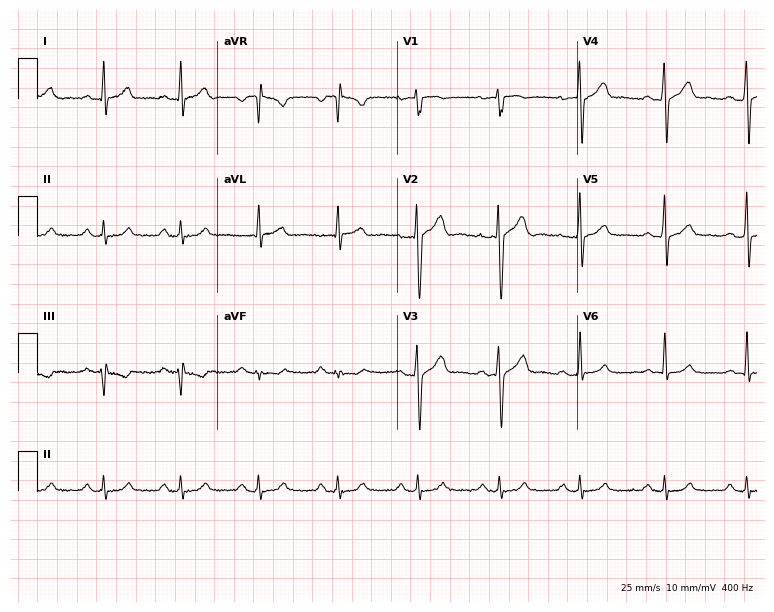
ECG — a 39-year-old male patient. Labelled as a normal ECG.